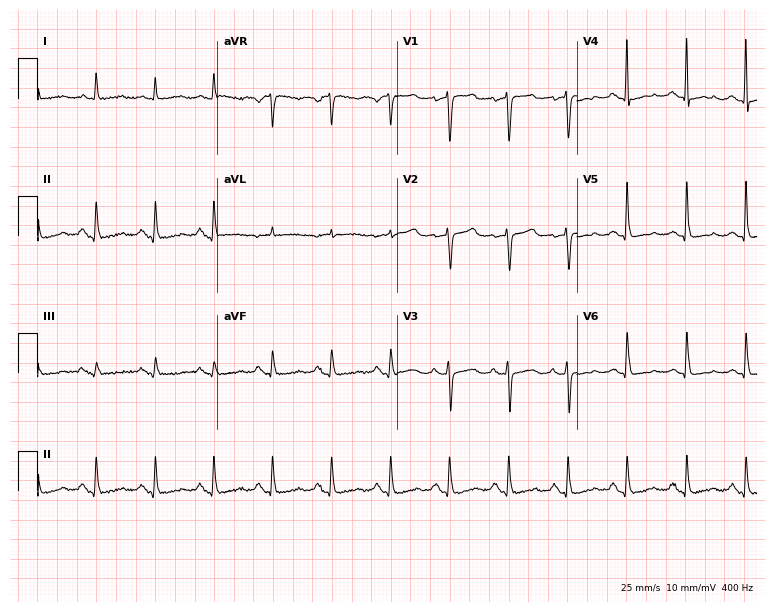
ECG — a 78-year-old female. Screened for six findings — first-degree AV block, right bundle branch block (RBBB), left bundle branch block (LBBB), sinus bradycardia, atrial fibrillation (AF), sinus tachycardia — none is recorded.